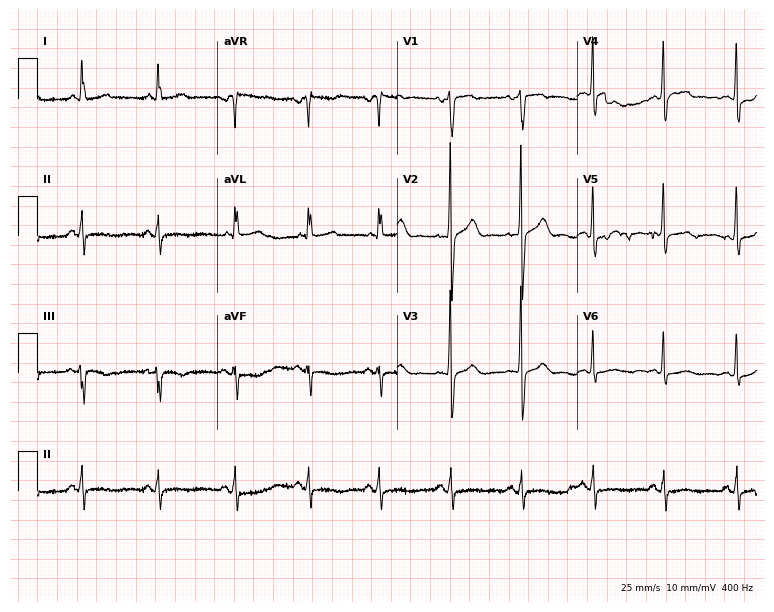
Electrocardiogram (7.3-second recording at 400 Hz), a 51-year-old man. Of the six screened findings (first-degree AV block, right bundle branch block (RBBB), left bundle branch block (LBBB), sinus bradycardia, atrial fibrillation (AF), sinus tachycardia), none is recorded.